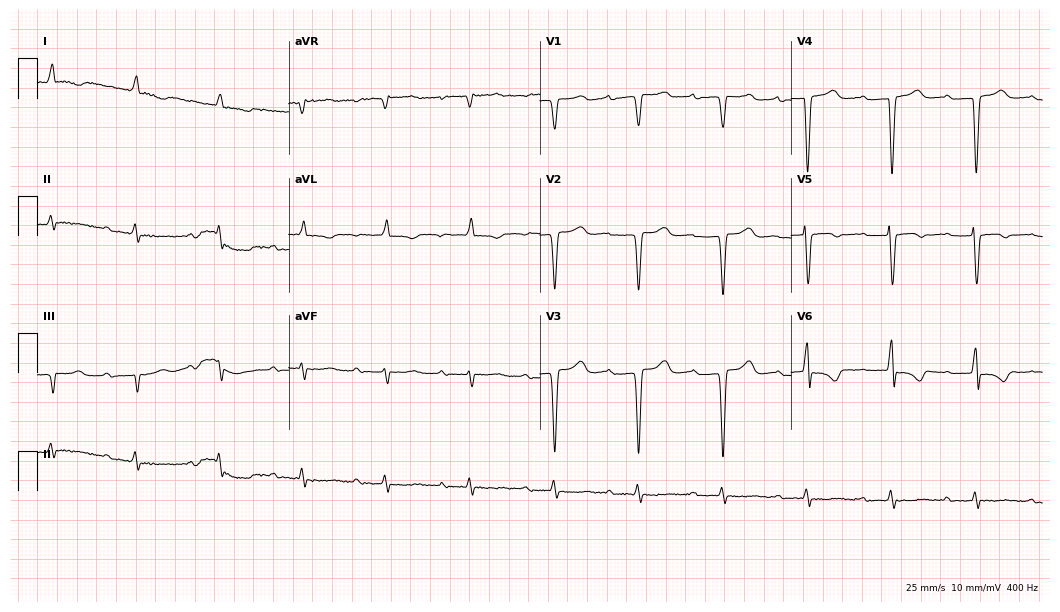
Resting 12-lead electrocardiogram. Patient: an 80-year-old female. The tracing shows first-degree AV block.